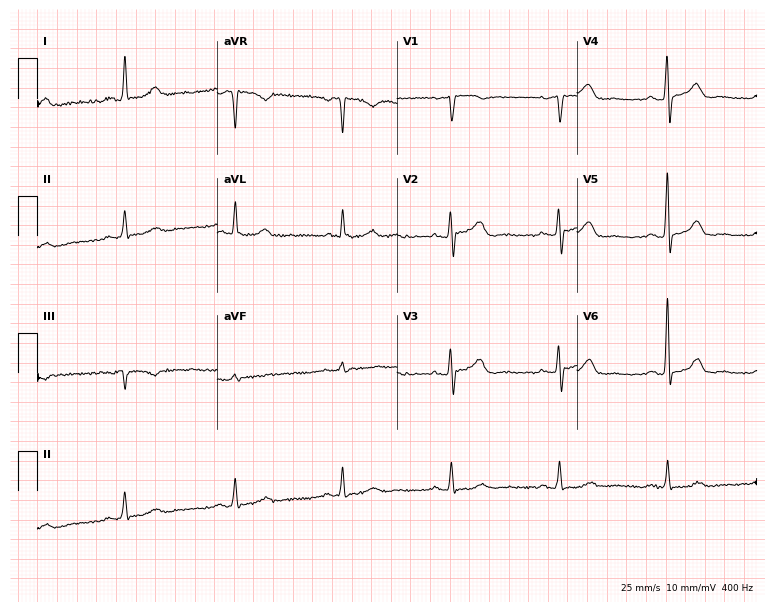
12-lead ECG from a male patient, 74 years old. Screened for six findings — first-degree AV block, right bundle branch block, left bundle branch block, sinus bradycardia, atrial fibrillation, sinus tachycardia — none is recorded. Only these six findings were labelled.